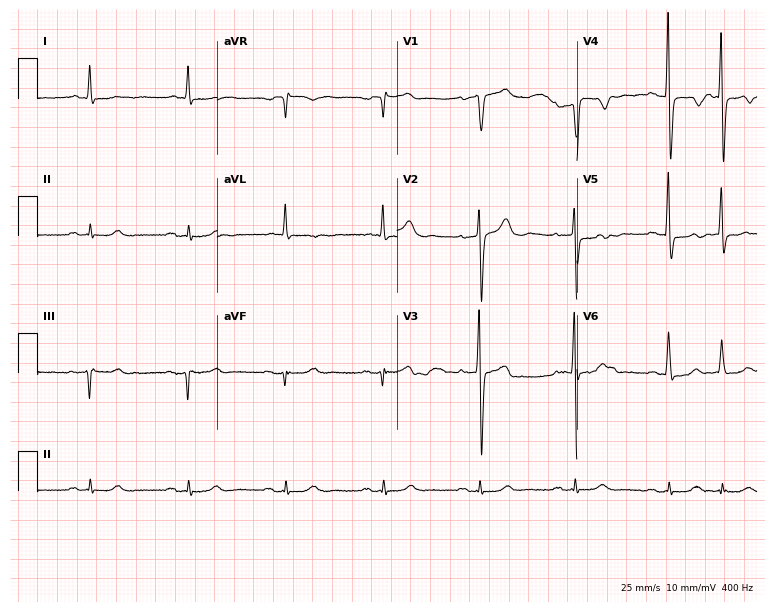
12-lead ECG from a male, 81 years old. No first-degree AV block, right bundle branch block, left bundle branch block, sinus bradycardia, atrial fibrillation or sinus tachycardia recorded for this tracing.